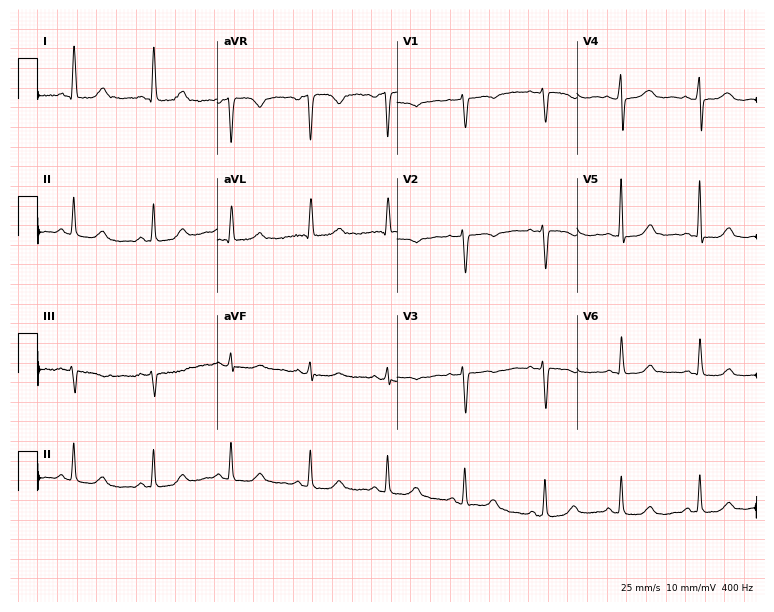
12-lead ECG from a female patient, 48 years old (7.3-second recording at 400 Hz). No first-degree AV block, right bundle branch block (RBBB), left bundle branch block (LBBB), sinus bradycardia, atrial fibrillation (AF) or sinus tachycardia recorded for this tracing.